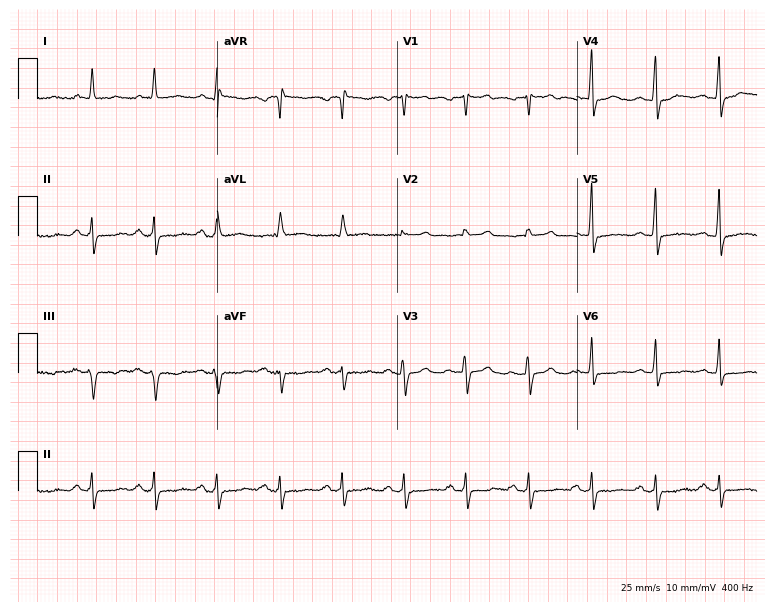
12-lead ECG from a female patient, 76 years old. Screened for six findings — first-degree AV block, right bundle branch block (RBBB), left bundle branch block (LBBB), sinus bradycardia, atrial fibrillation (AF), sinus tachycardia — none is recorded.